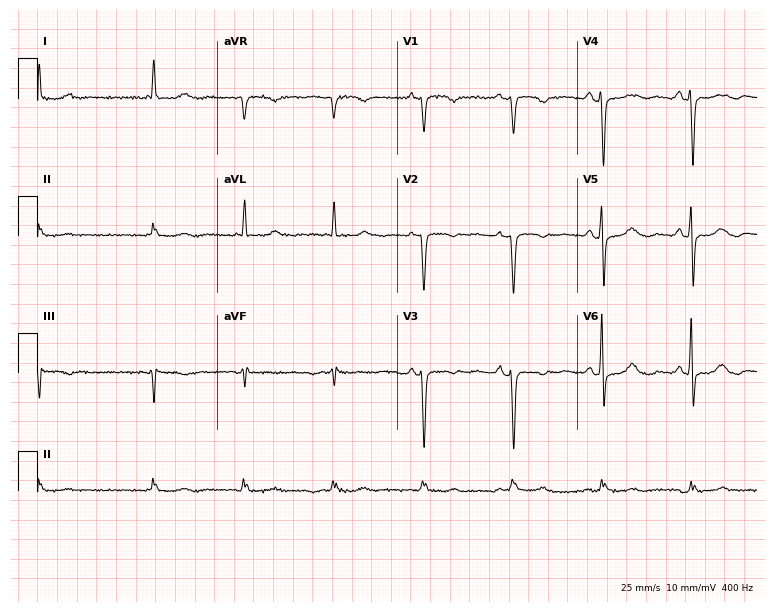
12-lead ECG from a female, 80 years old (7.3-second recording at 400 Hz). No first-degree AV block, right bundle branch block (RBBB), left bundle branch block (LBBB), sinus bradycardia, atrial fibrillation (AF) or sinus tachycardia recorded for this tracing.